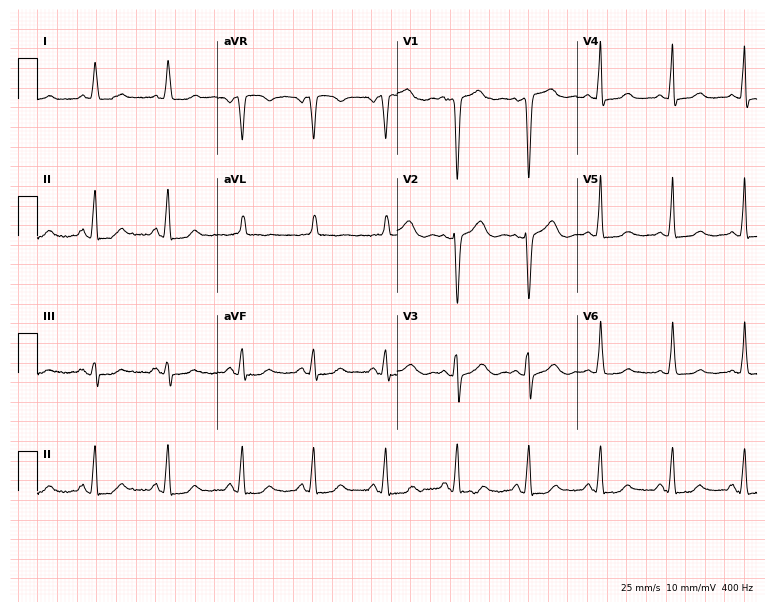
12-lead ECG from a woman, 74 years old. No first-degree AV block, right bundle branch block, left bundle branch block, sinus bradycardia, atrial fibrillation or sinus tachycardia recorded for this tracing.